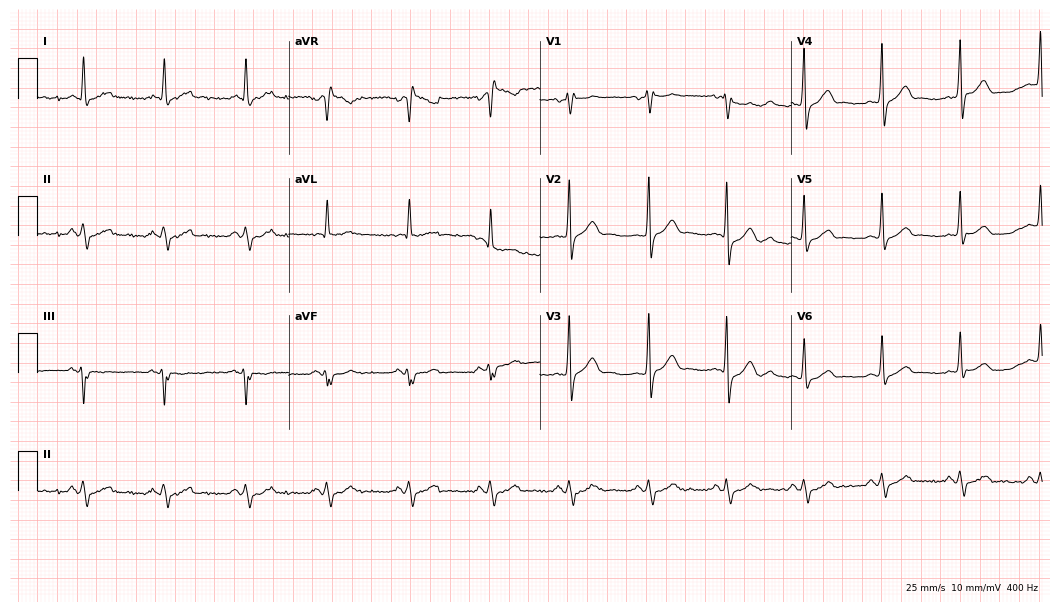
12-lead ECG from a 43-year-old man. Screened for six findings — first-degree AV block, right bundle branch block, left bundle branch block, sinus bradycardia, atrial fibrillation, sinus tachycardia — none is recorded.